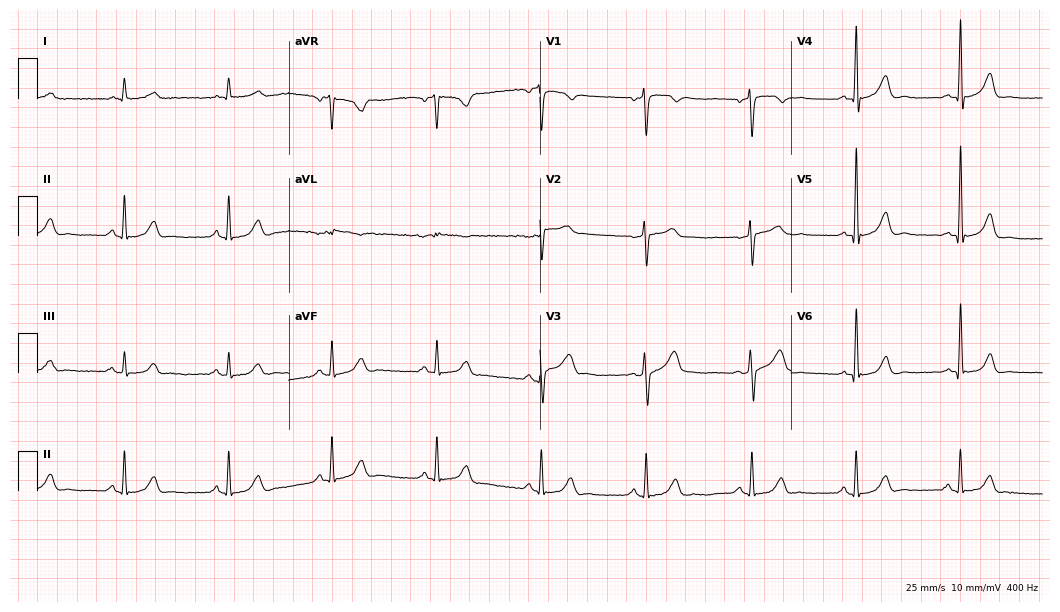
12-lead ECG from a male patient, 72 years old. Screened for six findings — first-degree AV block, right bundle branch block, left bundle branch block, sinus bradycardia, atrial fibrillation, sinus tachycardia — none is recorded. Only these six findings were labelled.